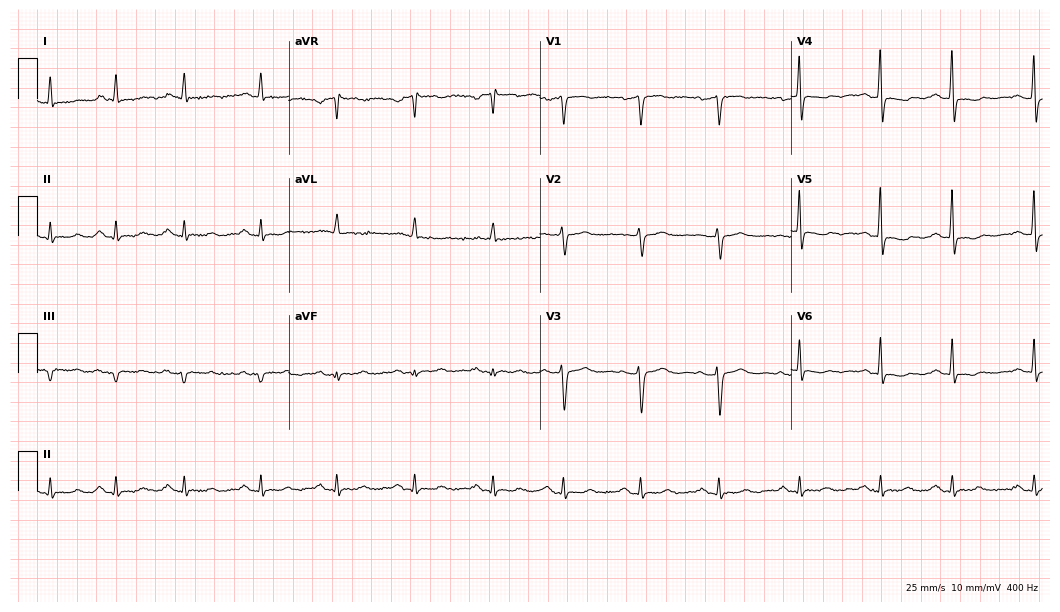
Electrocardiogram (10.2-second recording at 400 Hz), a woman, 61 years old. Overall reading on record: normal ECG.